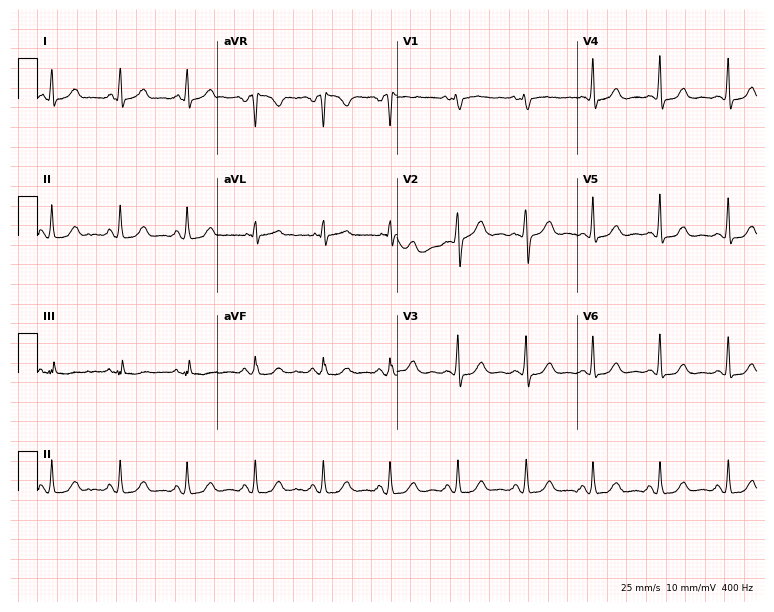
12-lead ECG (7.3-second recording at 400 Hz) from a woman, 56 years old. Labelled as a normal ECG.